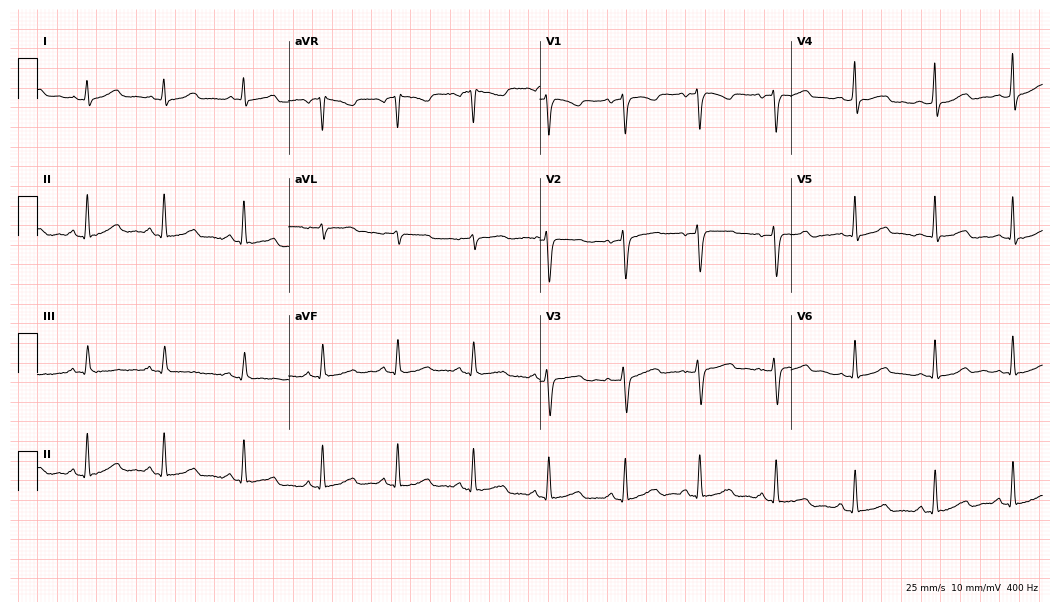
ECG (10.2-second recording at 400 Hz) — a 36-year-old woman. Labelled as a normal ECG.